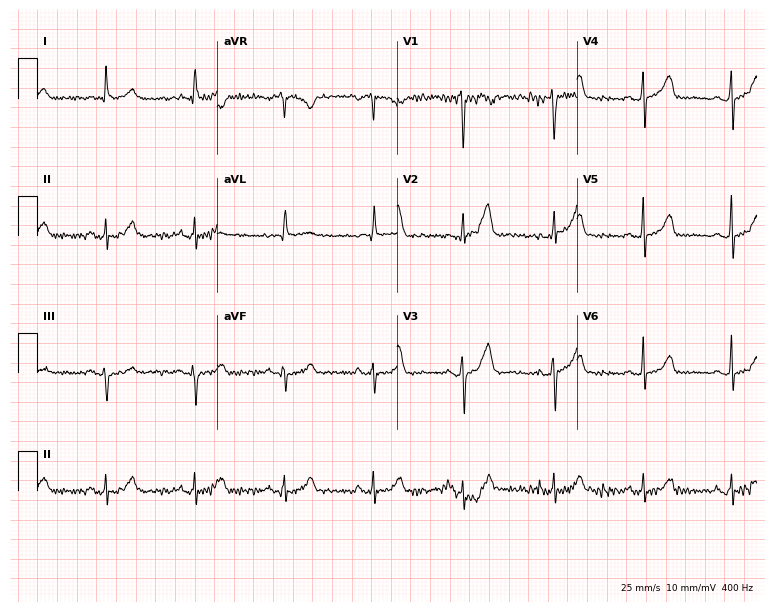
Resting 12-lead electrocardiogram. Patient: a 69-year-old female. Read as a normal ECG.